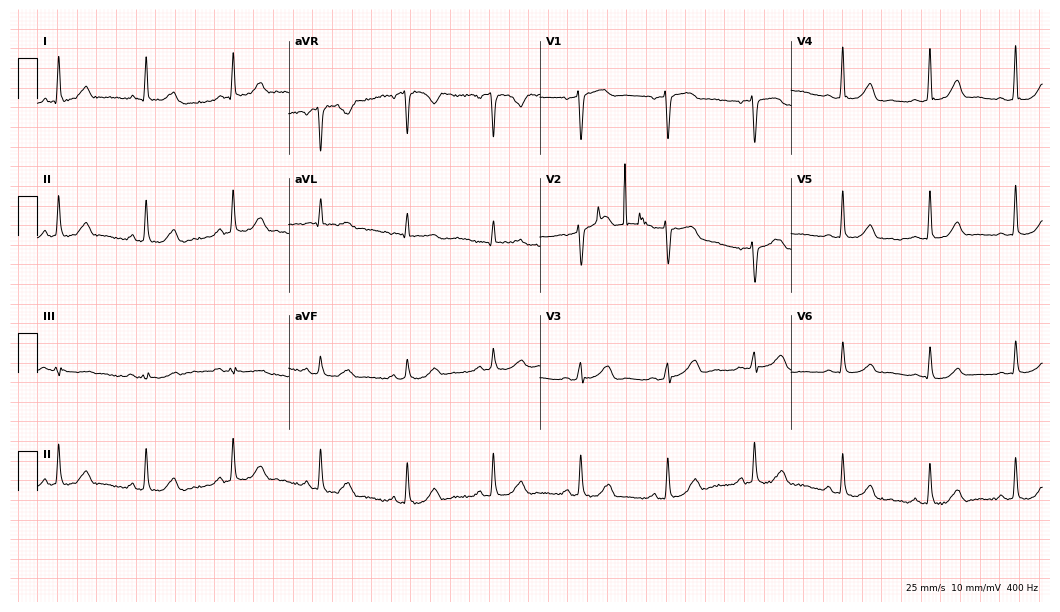
ECG (10.2-second recording at 400 Hz) — a 61-year-old female. Labelled as a normal ECG.